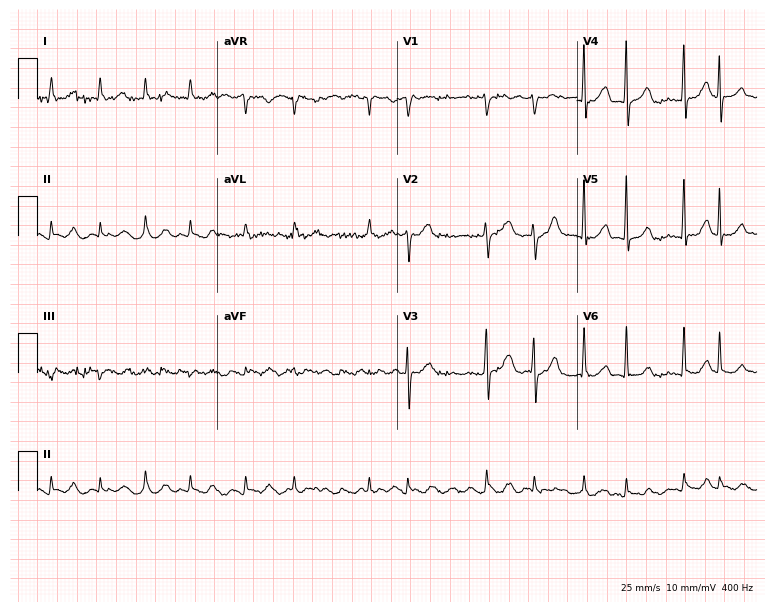
Standard 12-lead ECG recorded from a 70-year-old female (7.3-second recording at 400 Hz). The tracing shows atrial fibrillation (AF).